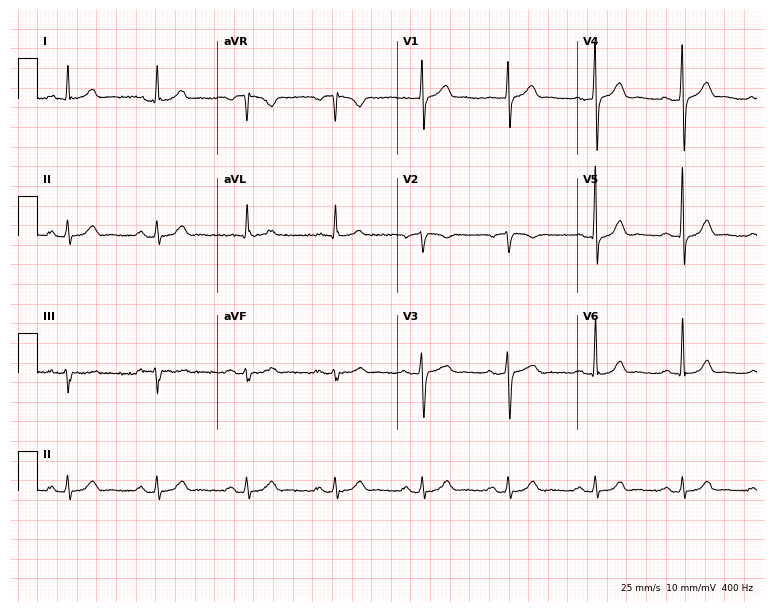
12-lead ECG from a man, 50 years old. Screened for six findings — first-degree AV block, right bundle branch block, left bundle branch block, sinus bradycardia, atrial fibrillation, sinus tachycardia — none is recorded. Only these six findings were labelled.